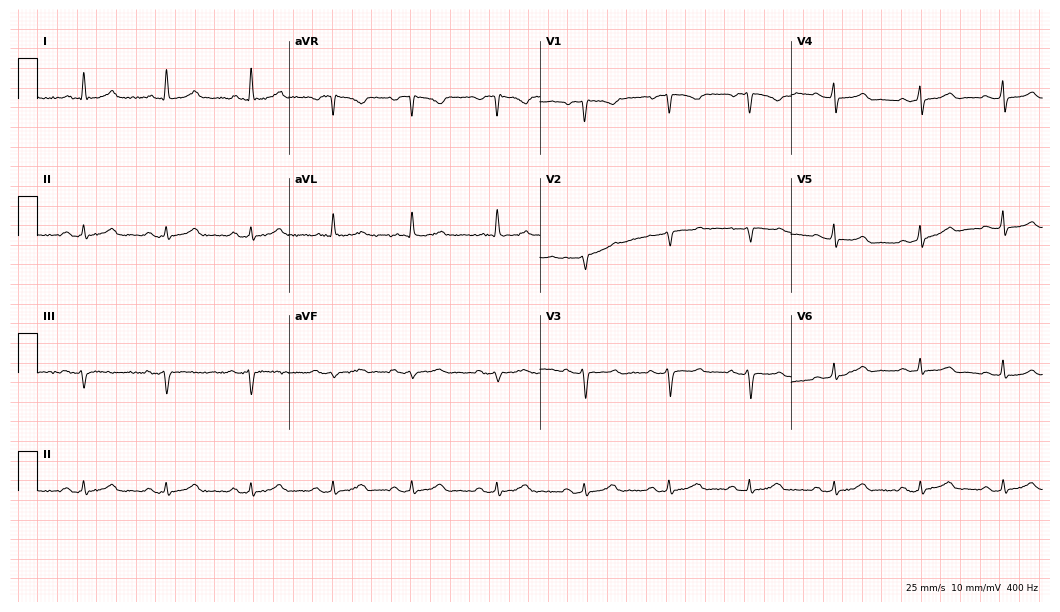
ECG — a woman, 47 years old. Labelled as a normal ECG.